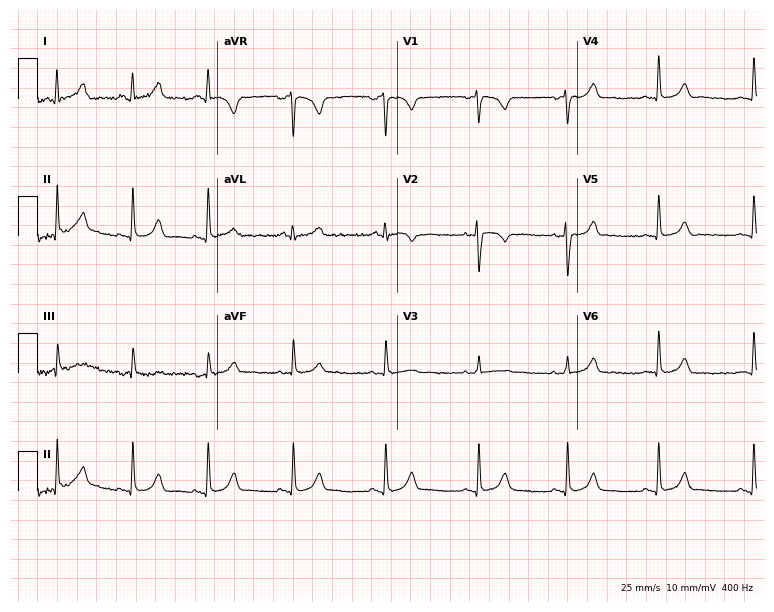
Standard 12-lead ECG recorded from a woman, 37 years old. None of these six findings is recorded: first-degree AV block, right bundle branch block (RBBB), left bundle branch block (LBBB), sinus bradycardia, atrial fibrillation (AF), sinus tachycardia.